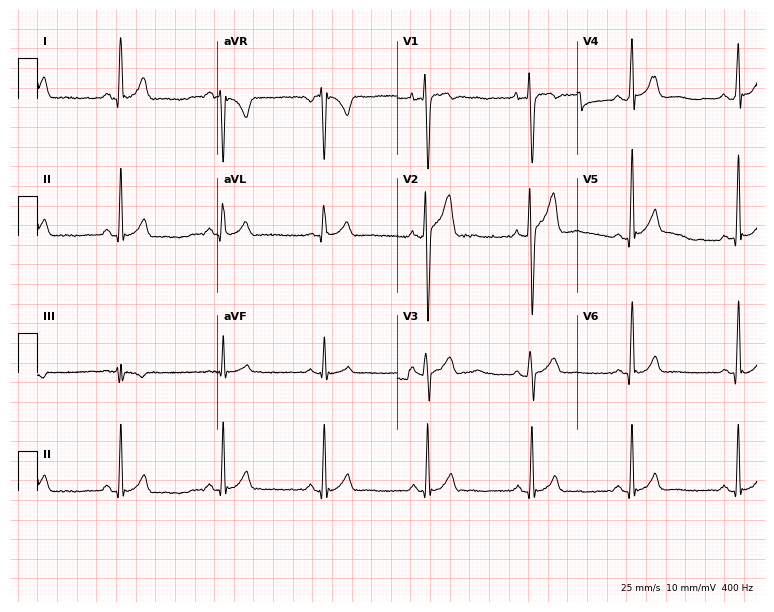
Resting 12-lead electrocardiogram. Patient: a male, 20 years old. Read as a normal ECG.